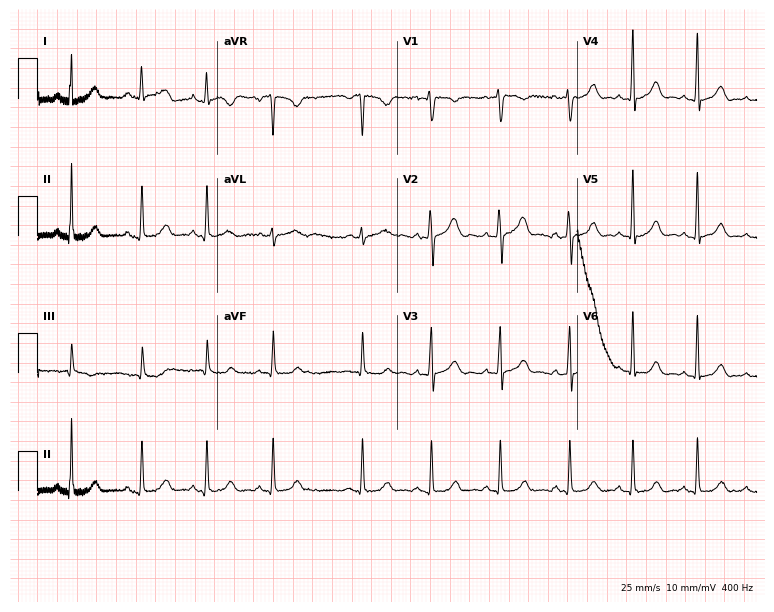
ECG — a female patient, 24 years old. Screened for six findings — first-degree AV block, right bundle branch block (RBBB), left bundle branch block (LBBB), sinus bradycardia, atrial fibrillation (AF), sinus tachycardia — none is recorded. Other findings, if any, are not listed.